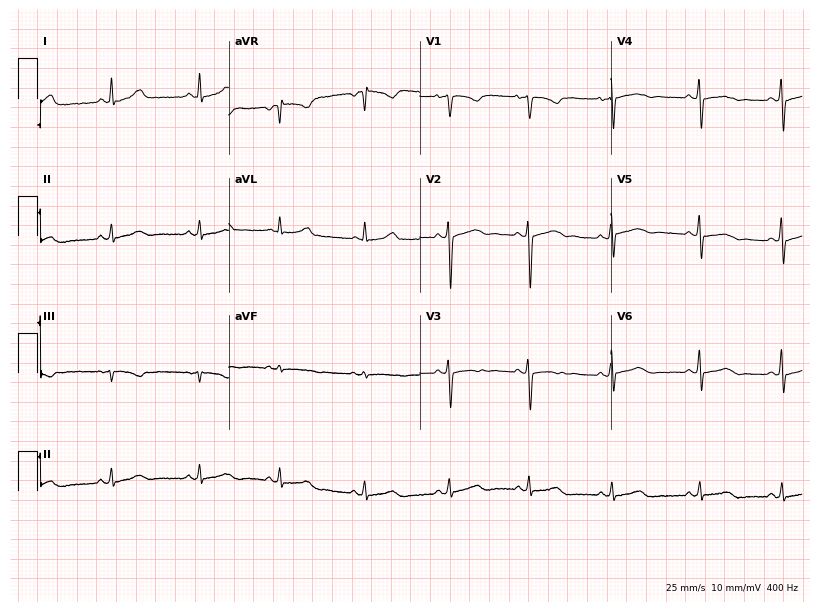
ECG — a woman, 28 years old. Screened for six findings — first-degree AV block, right bundle branch block (RBBB), left bundle branch block (LBBB), sinus bradycardia, atrial fibrillation (AF), sinus tachycardia — none is recorded.